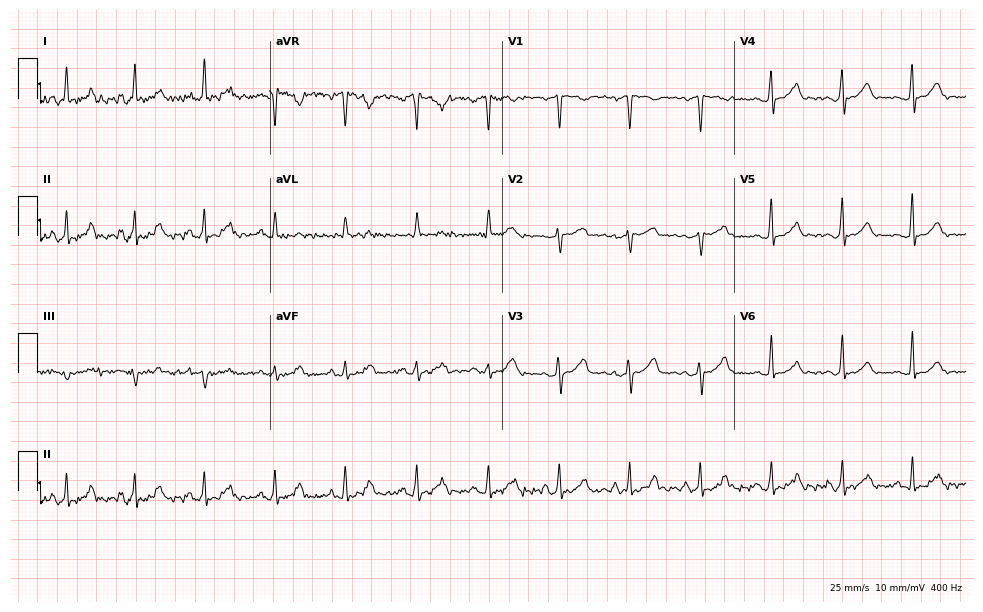
12-lead ECG (9.5-second recording at 400 Hz) from a 36-year-old woman. Screened for six findings — first-degree AV block, right bundle branch block, left bundle branch block, sinus bradycardia, atrial fibrillation, sinus tachycardia — none is recorded. Findings outside these six are not listed.